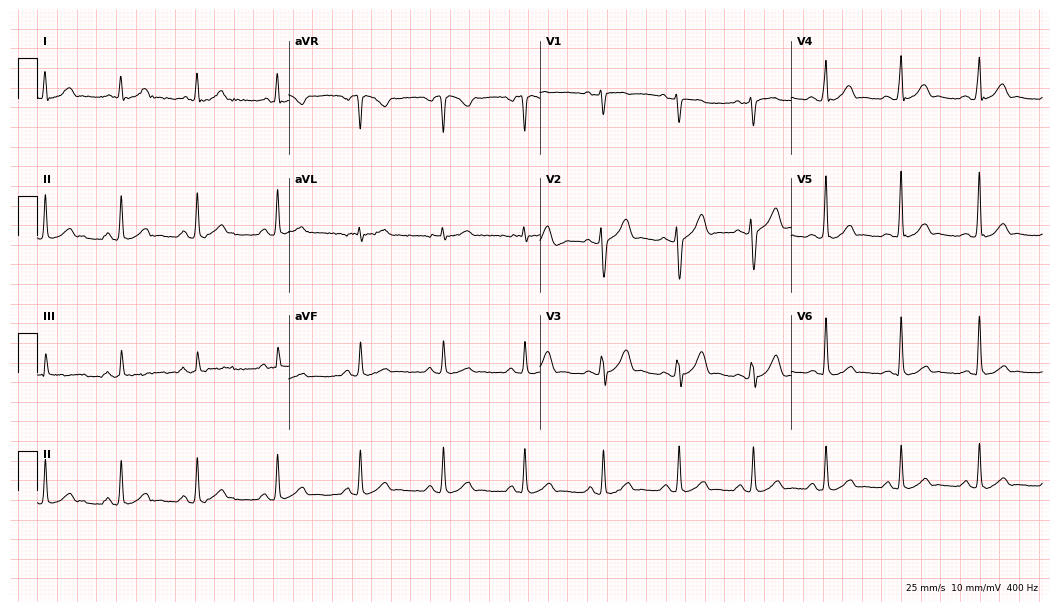
ECG (10.2-second recording at 400 Hz) — a 30-year-old male patient. Labelled as a normal ECG.